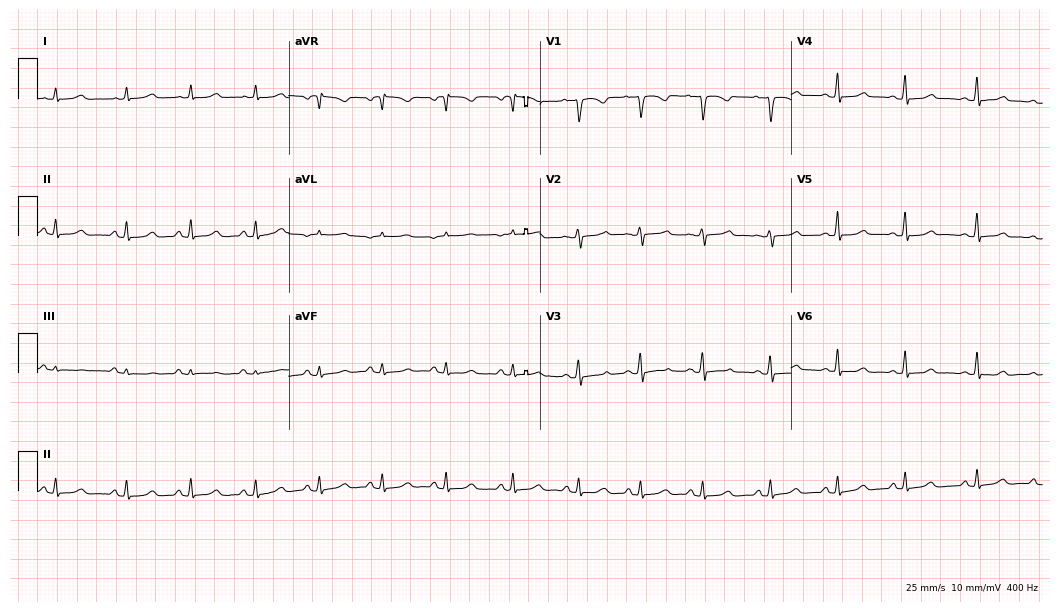
Resting 12-lead electrocardiogram. Patient: a female, 29 years old. Read as a normal ECG.